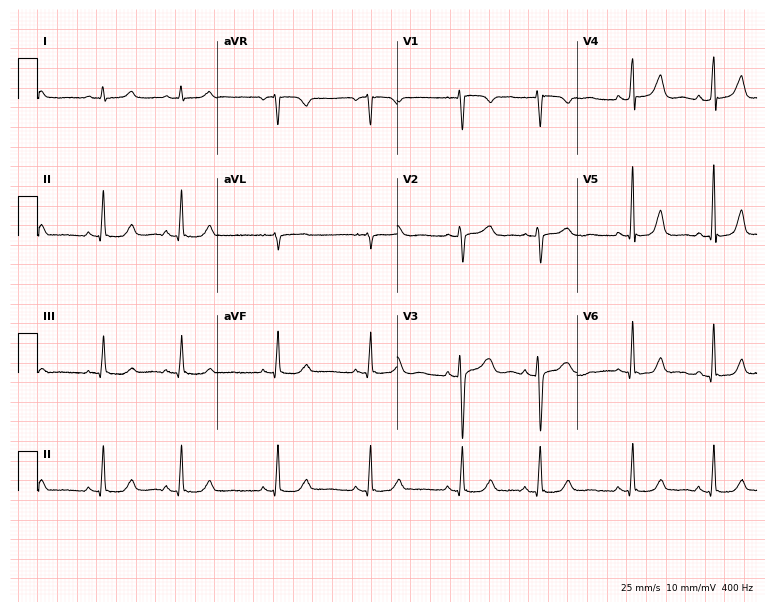
12-lead ECG from a 51-year-old female. No first-degree AV block, right bundle branch block, left bundle branch block, sinus bradycardia, atrial fibrillation or sinus tachycardia recorded for this tracing. Only these six findings were labelled.